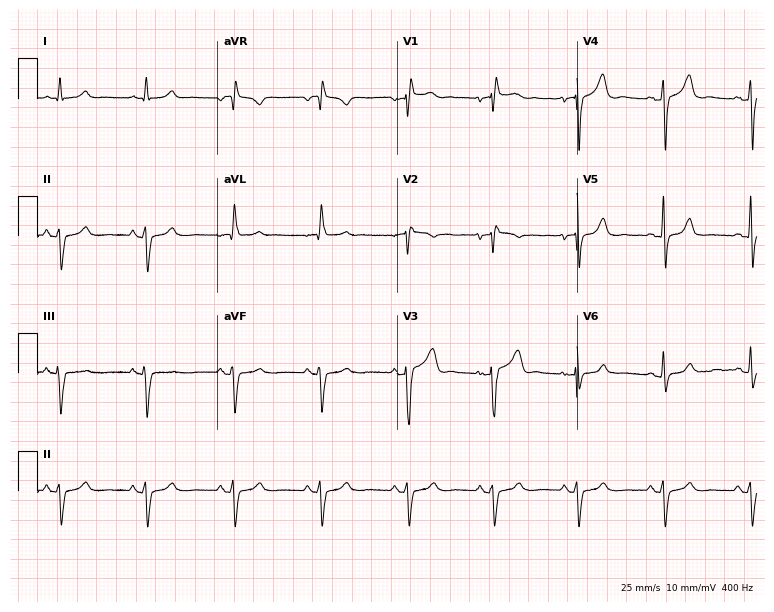
Resting 12-lead electrocardiogram (7.3-second recording at 400 Hz). Patient: a female, 47 years old. None of these six findings is recorded: first-degree AV block, right bundle branch block, left bundle branch block, sinus bradycardia, atrial fibrillation, sinus tachycardia. Findings outside these six are not listed.